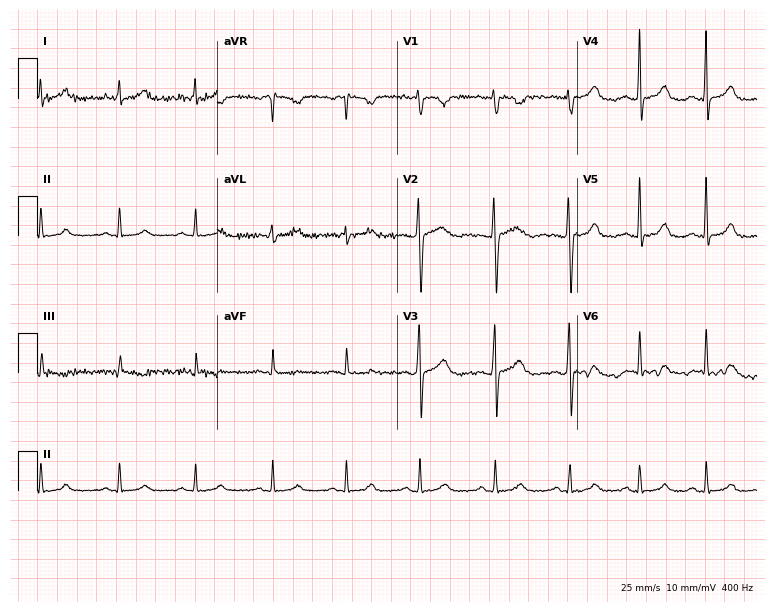
12-lead ECG from a female, 30 years old. No first-degree AV block, right bundle branch block, left bundle branch block, sinus bradycardia, atrial fibrillation or sinus tachycardia recorded for this tracing. Other findings, if any, are not listed.